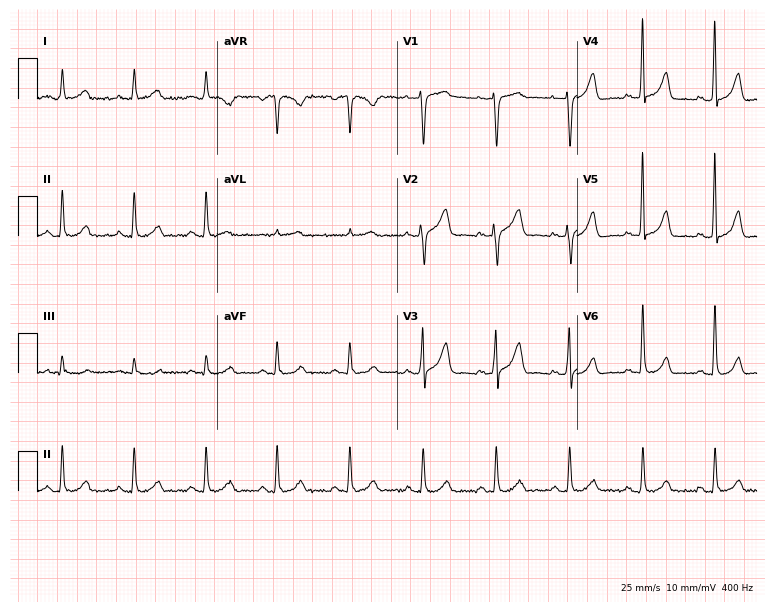
ECG (7.3-second recording at 400 Hz) — a female, 57 years old. Screened for six findings — first-degree AV block, right bundle branch block (RBBB), left bundle branch block (LBBB), sinus bradycardia, atrial fibrillation (AF), sinus tachycardia — none is recorded. Other findings, if any, are not listed.